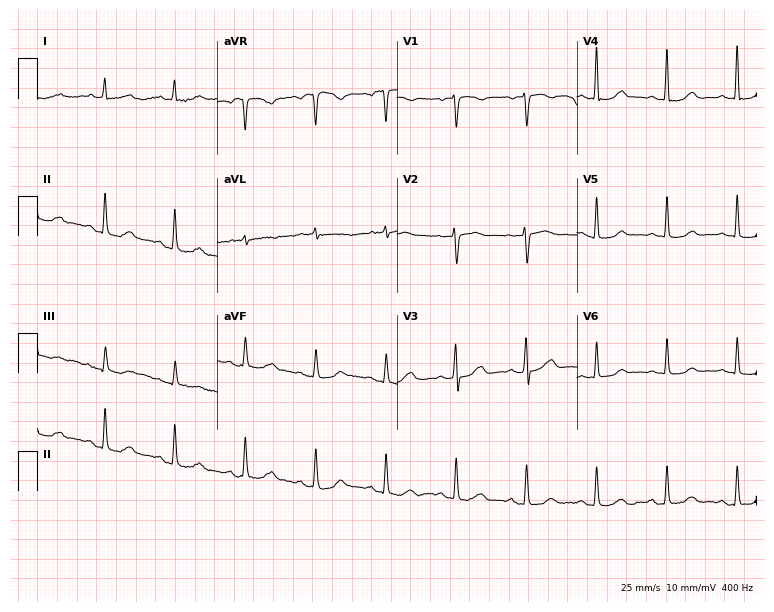
ECG (7.3-second recording at 400 Hz) — a female, 57 years old. Screened for six findings — first-degree AV block, right bundle branch block, left bundle branch block, sinus bradycardia, atrial fibrillation, sinus tachycardia — none is recorded.